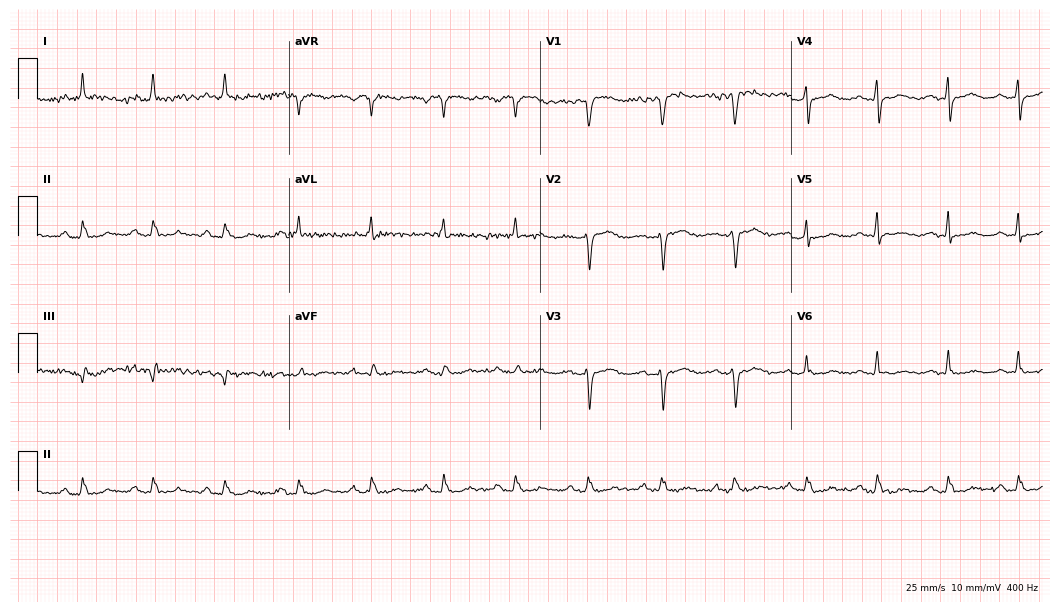
Electrocardiogram, a woman, 53 years old. Overall reading on record: normal ECG.